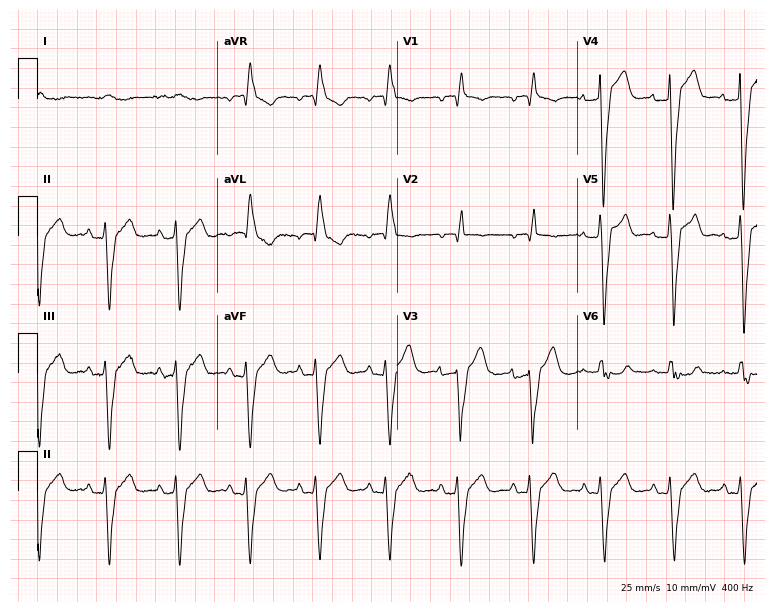
Standard 12-lead ECG recorded from a 76-year-old male patient (7.3-second recording at 400 Hz). The tracing shows right bundle branch block.